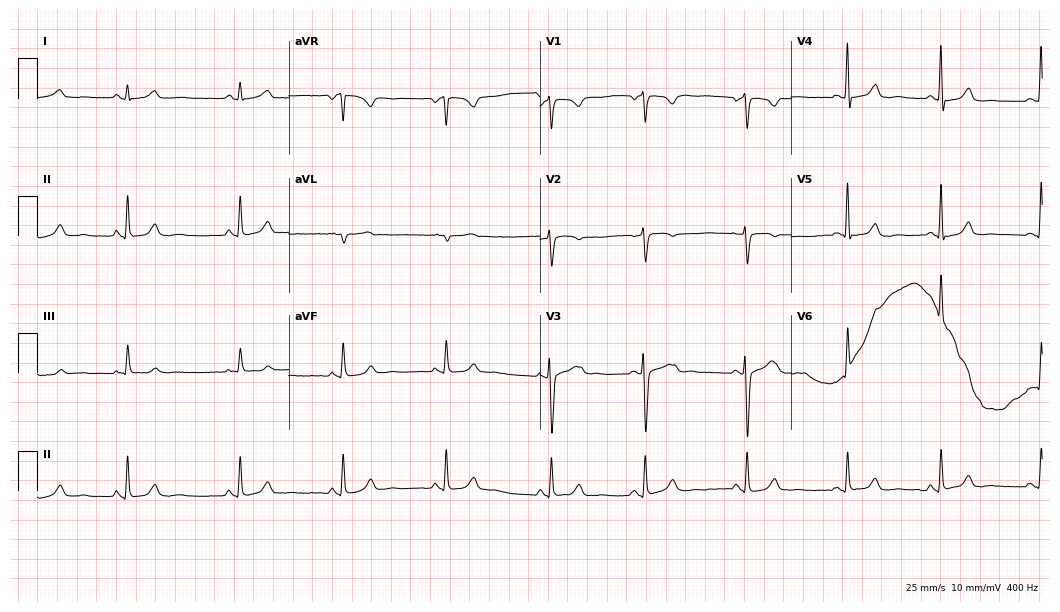
12-lead ECG from a 28-year-old female patient. Labelled as a normal ECG.